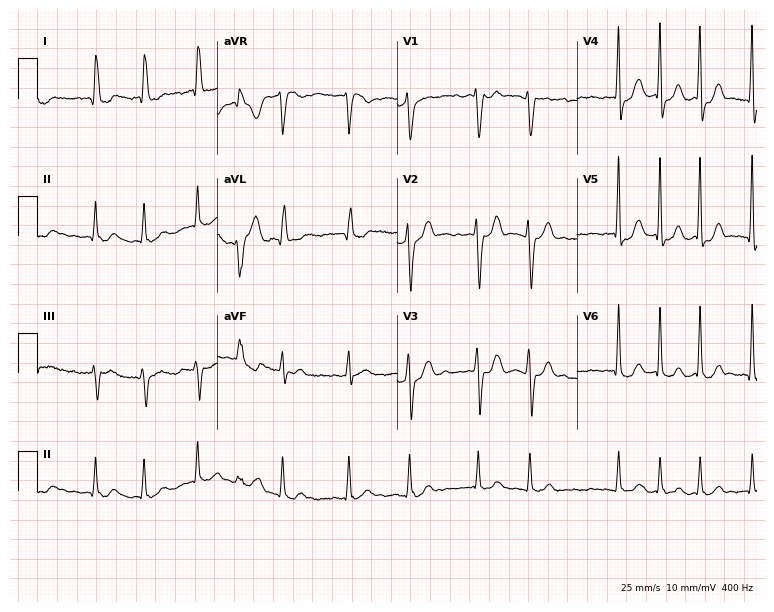
12-lead ECG from a 47-year-old female patient. Findings include atrial fibrillation.